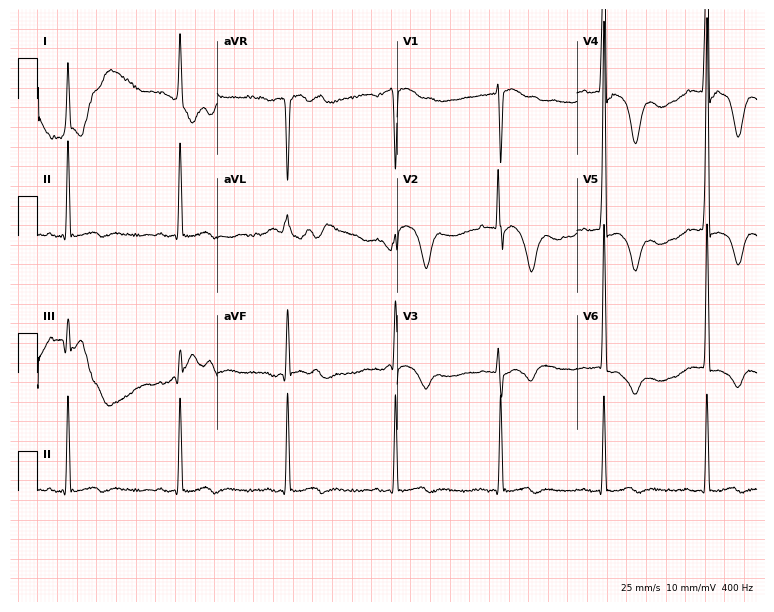
Electrocardiogram, a 77-year-old woman. Of the six screened findings (first-degree AV block, right bundle branch block, left bundle branch block, sinus bradycardia, atrial fibrillation, sinus tachycardia), none is recorded. Findings outside these six are not listed.